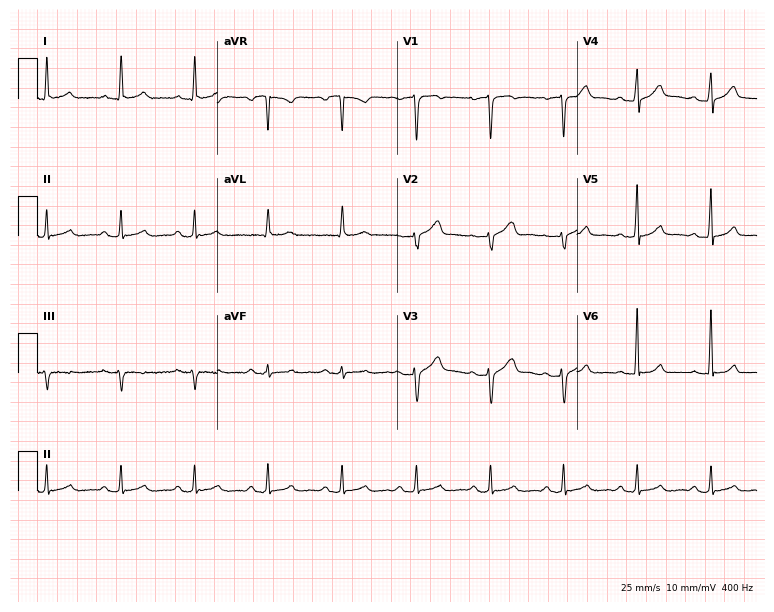
Electrocardiogram (7.3-second recording at 400 Hz), a male, 63 years old. Overall reading on record: normal ECG.